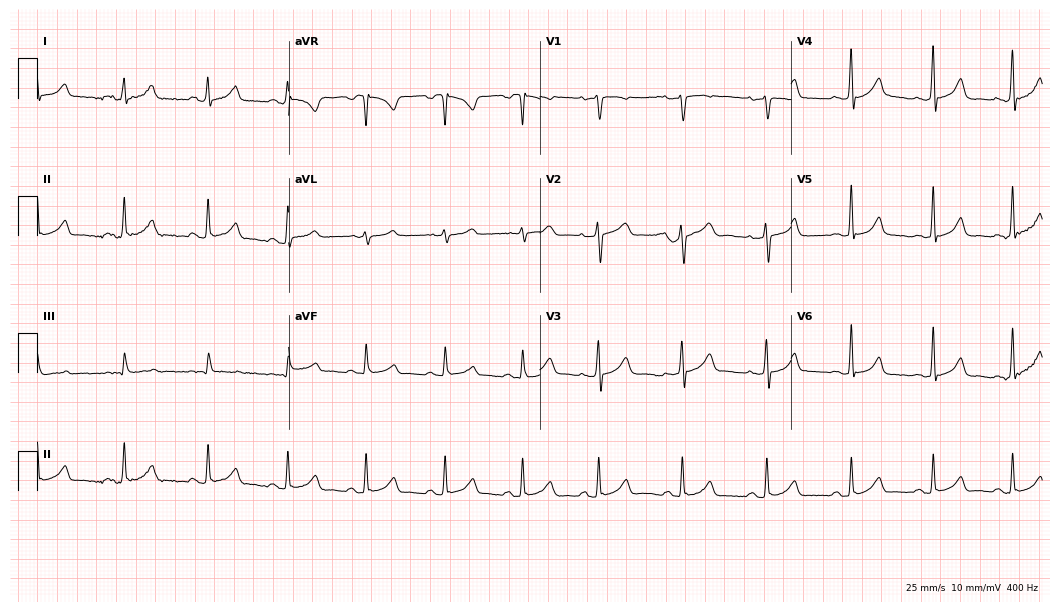
12-lead ECG from a woman, 29 years old. Labelled as a normal ECG.